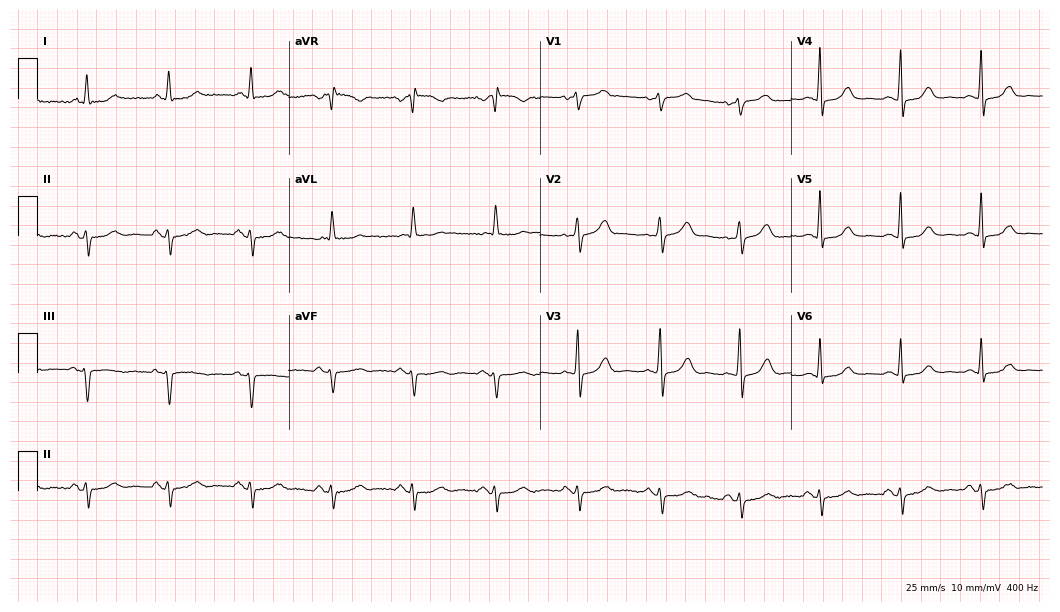
Electrocardiogram, a woman, 84 years old. Of the six screened findings (first-degree AV block, right bundle branch block (RBBB), left bundle branch block (LBBB), sinus bradycardia, atrial fibrillation (AF), sinus tachycardia), none is recorded. Findings outside these six are not listed.